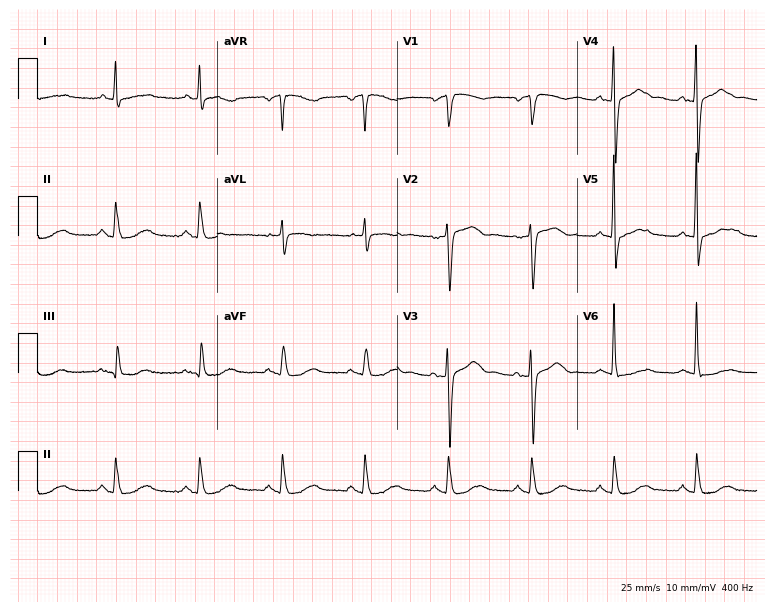
12-lead ECG from a female patient, 58 years old. No first-degree AV block, right bundle branch block, left bundle branch block, sinus bradycardia, atrial fibrillation or sinus tachycardia recorded for this tracing. Other findings, if any, are not listed.